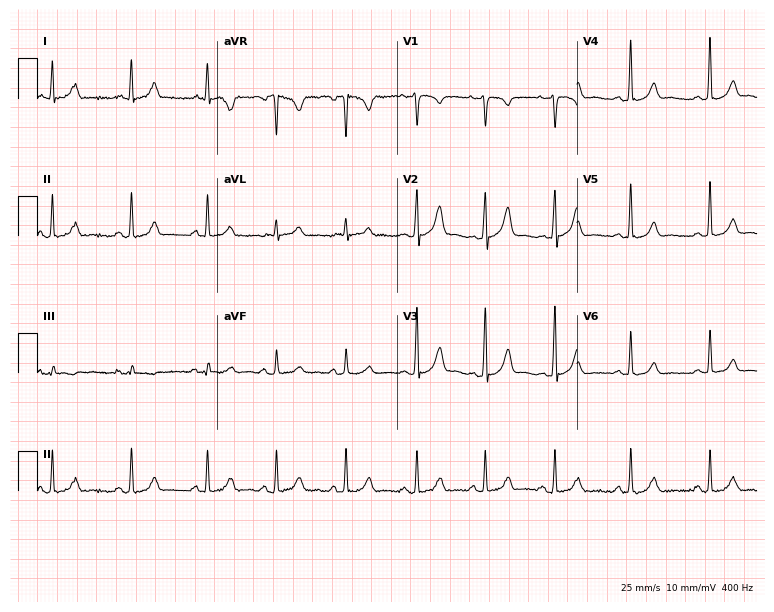
Standard 12-lead ECG recorded from a 24-year-old female. Read as a normal ECG.